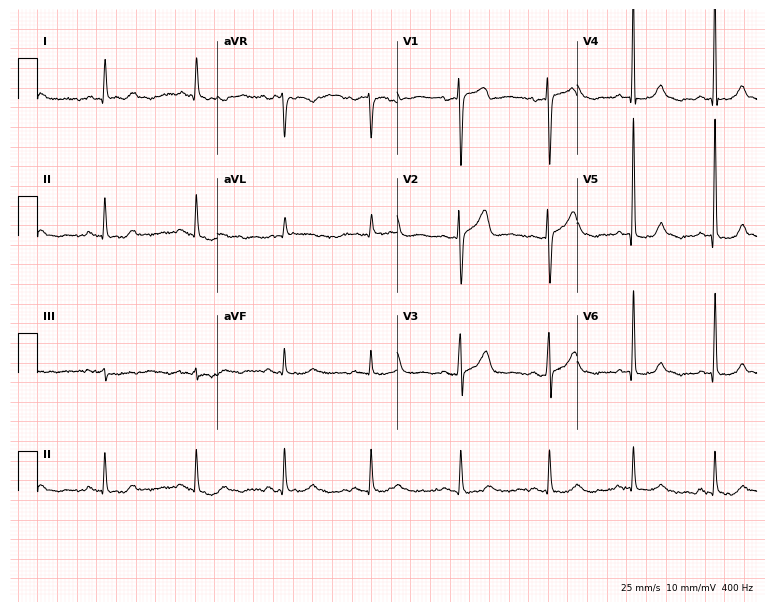
Standard 12-lead ECG recorded from a 68-year-old female. Read as a normal ECG.